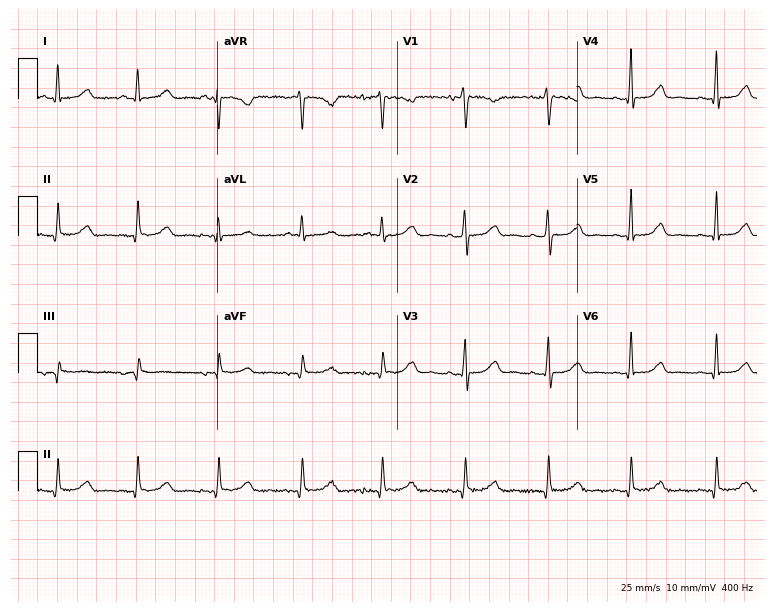
Standard 12-lead ECG recorded from a female, 62 years old (7.3-second recording at 400 Hz). Read as a normal ECG.